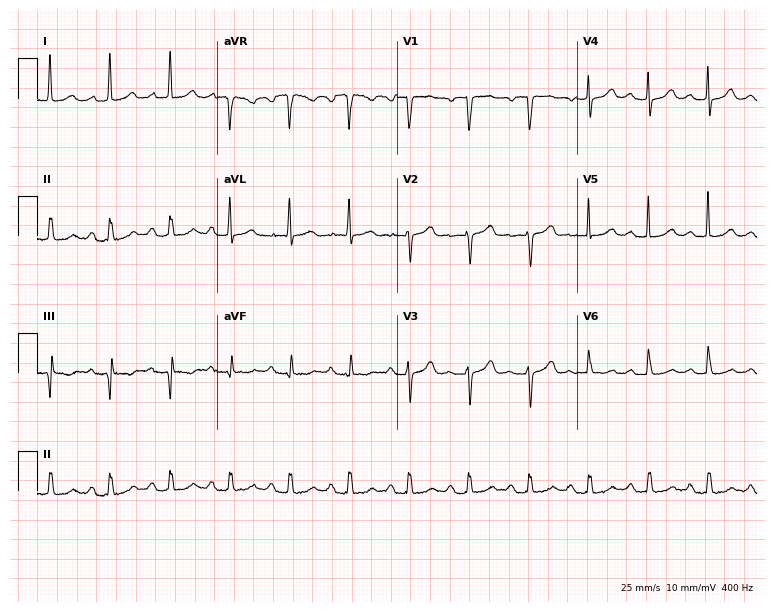
12-lead ECG from a 78-year-old female patient. No first-degree AV block, right bundle branch block, left bundle branch block, sinus bradycardia, atrial fibrillation or sinus tachycardia recorded for this tracing.